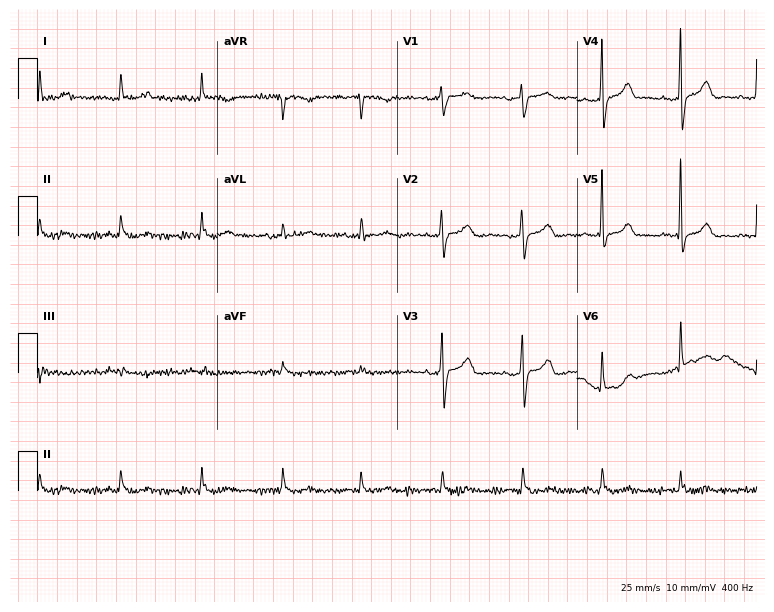
12-lead ECG from a woman, 85 years old. Recorded interpretation: within normal limits.